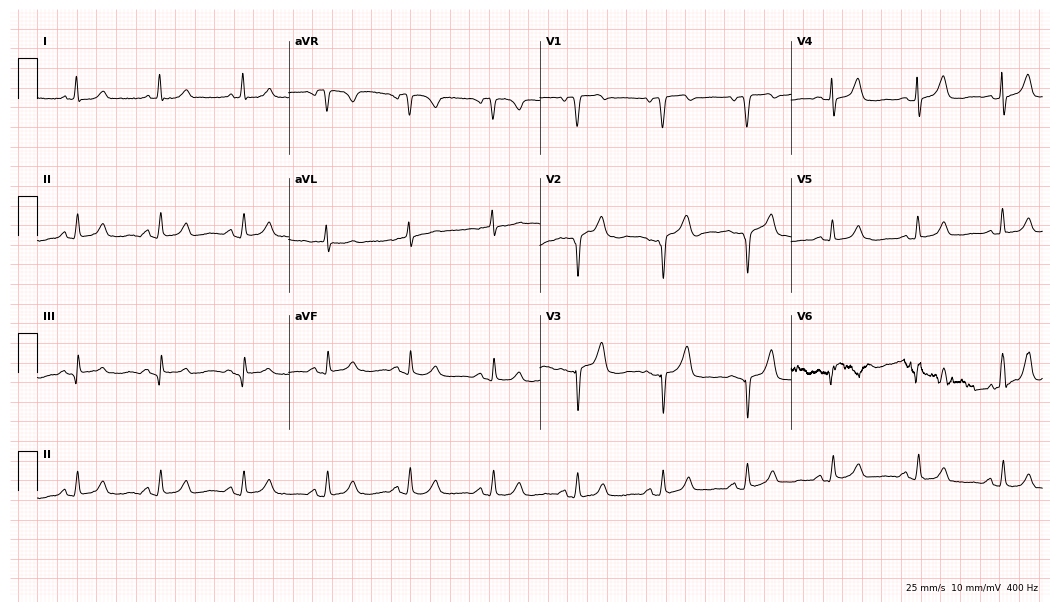
ECG (10.2-second recording at 400 Hz) — a woman, 67 years old. Screened for six findings — first-degree AV block, right bundle branch block (RBBB), left bundle branch block (LBBB), sinus bradycardia, atrial fibrillation (AF), sinus tachycardia — none is recorded.